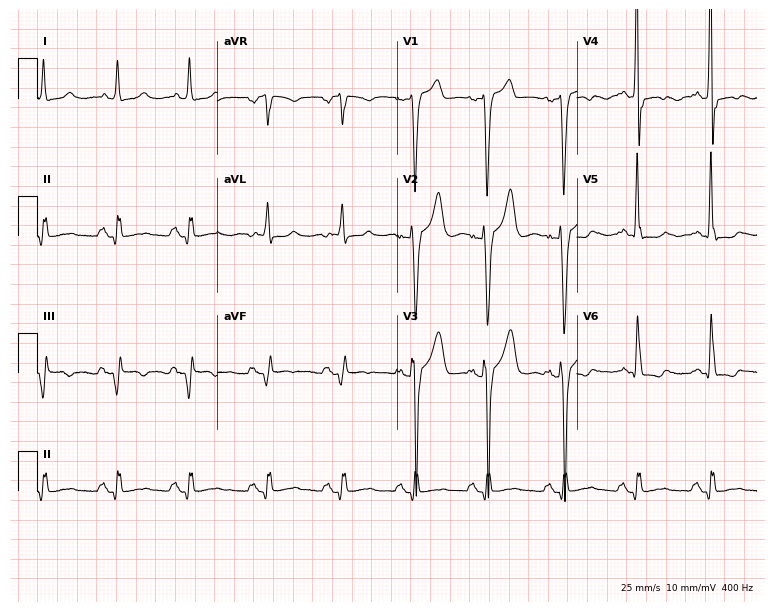
Standard 12-lead ECG recorded from a 50-year-old male. None of these six findings is recorded: first-degree AV block, right bundle branch block, left bundle branch block, sinus bradycardia, atrial fibrillation, sinus tachycardia.